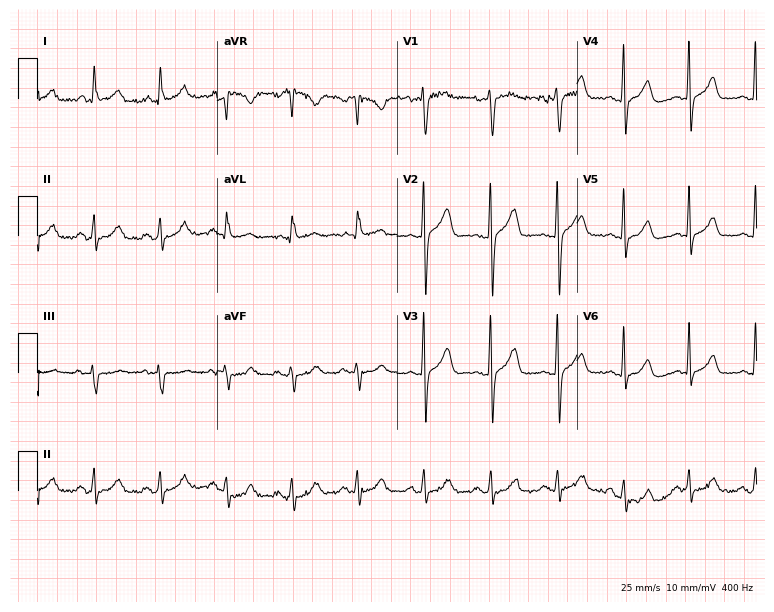
Resting 12-lead electrocardiogram (7.3-second recording at 400 Hz). Patient: a 64-year-old male. None of these six findings is recorded: first-degree AV block, right bundle branch block, left bundle branch block, sinus bradycardia, atrial fibrillation, sinus tachycardia. Other findings, if any, are not listed.